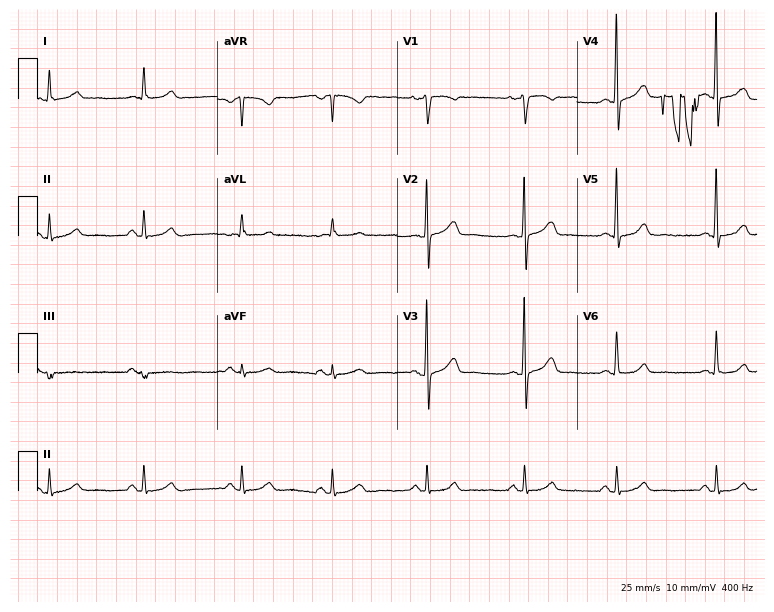
12-lead ECG (7.3-second recording at 400 Hz) from a female, 50 years old. Labelled as a normal ECG.